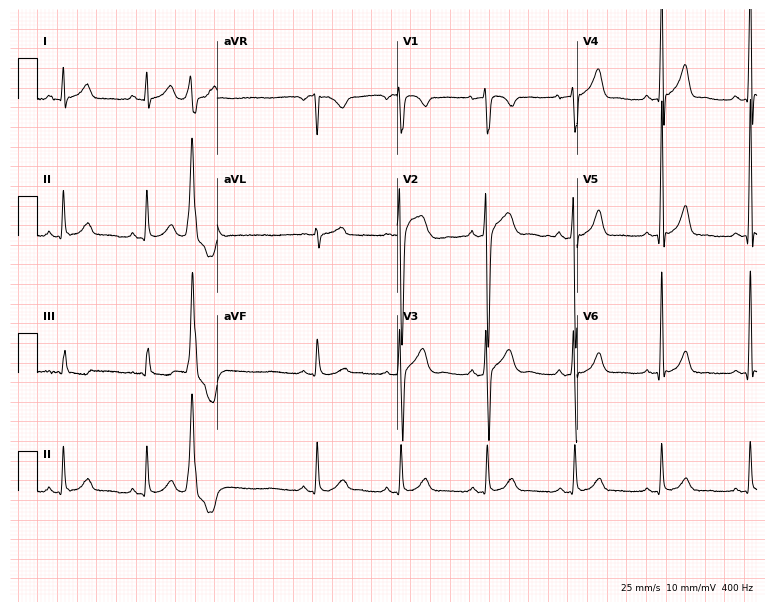
Resting 12-lead electrocardiogram (7.3-second recording at 400 Hz). Patient: a 45-year-old man. None of these six findings is recorded: first-degree AV block, right bundle branch block, left bundle branch block, sinus bradycardia, atrial fibrillation, sinus tachycardia.